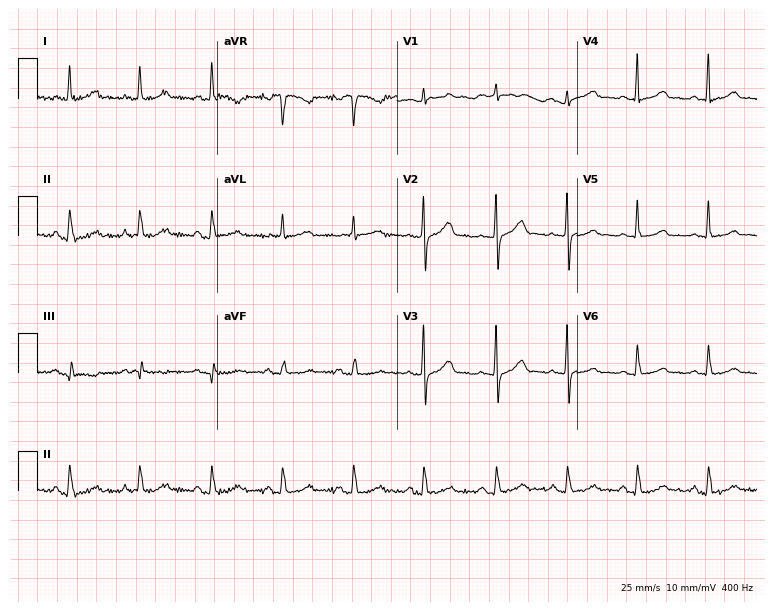
Electrocardiogram (7.3-second recording at 400 Hz), a female, 77 years old. Overall reading on record: normal ECG.